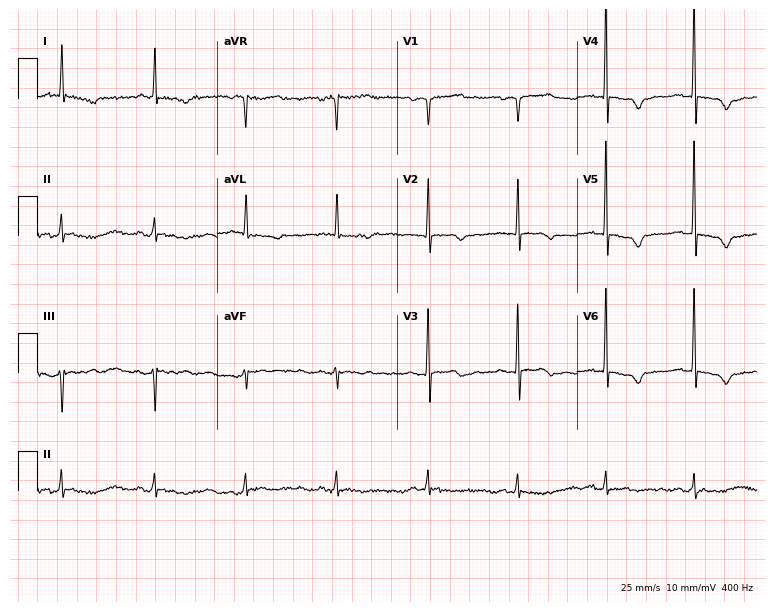
Resting 12-lead electrocardiogram (7.3-second recording at 400 Hz). Patient: a female, 77 years old. None of these six findings is recorded: first-degree AV block, right bundle branch block, left bundle branch block, sinus bradycardia, atrial fibrillation, sinus tachycardia.